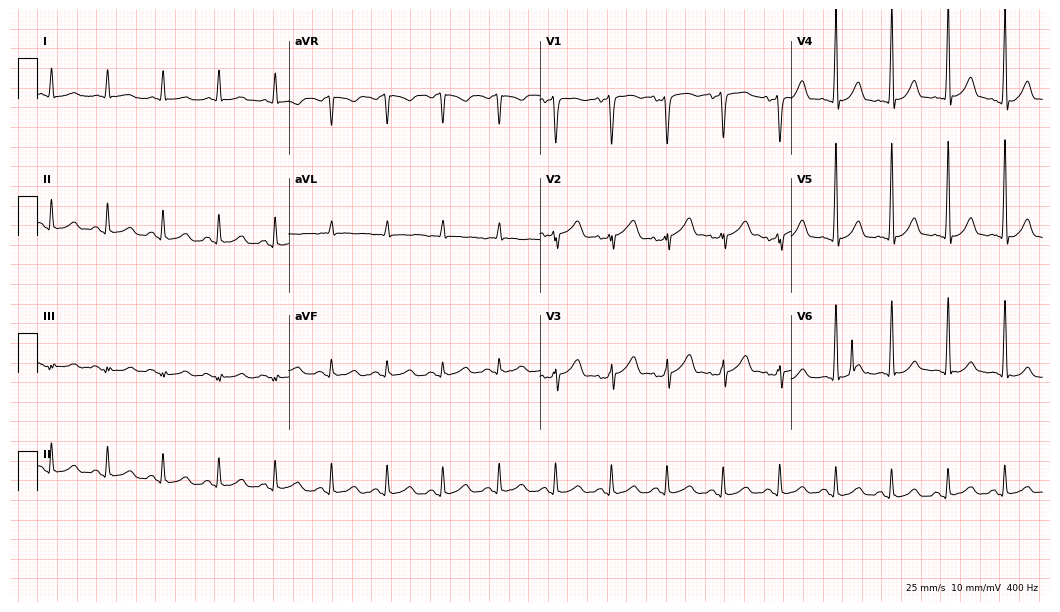
12-lead ECG from a 59-year-old male patient (10.2-second recording at 400 Hz). Shows sinus tachycardia (a sinus rate of 100 beats per minute or more).